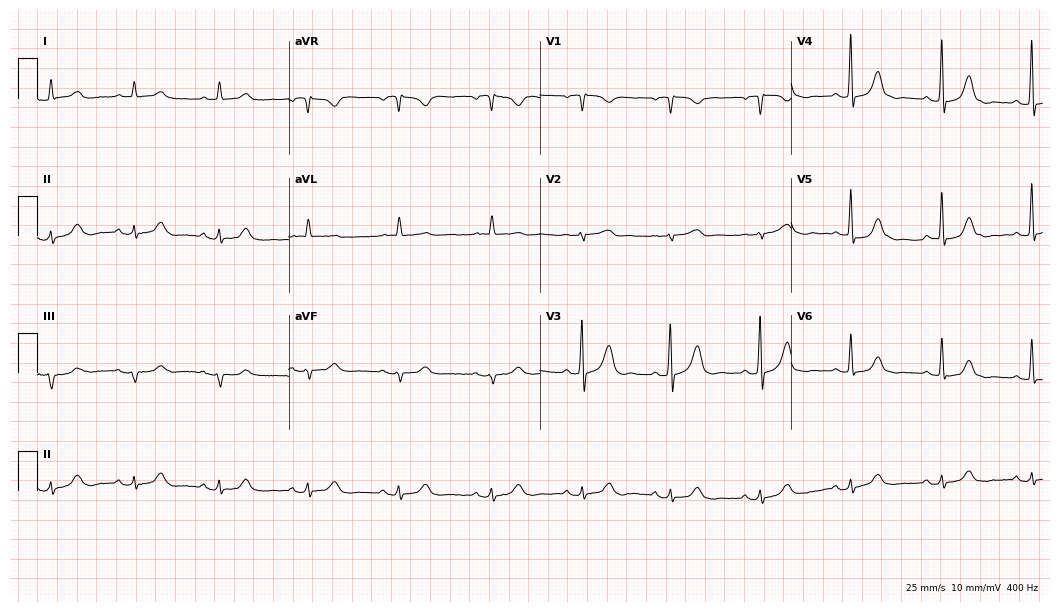
ECG (10.2-second recording at 400 Hz) — a female patient, 67 years old. Screened for six findings — first-degree AV block, right bundle branch block (RBBB), left bundle branch block (LBBB), sinus bradycardia, atrial fibrillation (AF), sinus tachycardia — none is recorded. Findings outside these six are not listed.